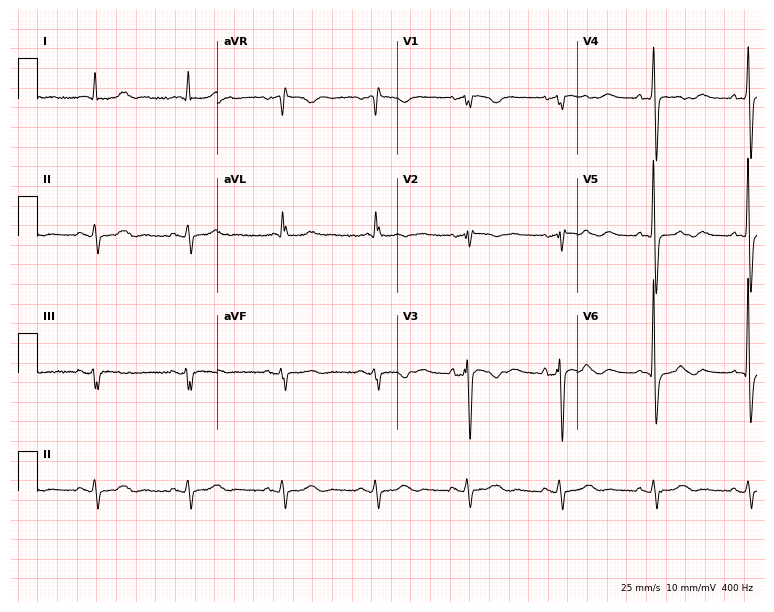
12-lead ECG from a male, 75 years old. No first-degree AV block, right bundle branch block, left bundle branch block, sinus bradycardia, atrial fibrillation or sinus tachycardia recorded for this tracing. Findings outside these six are not listed.